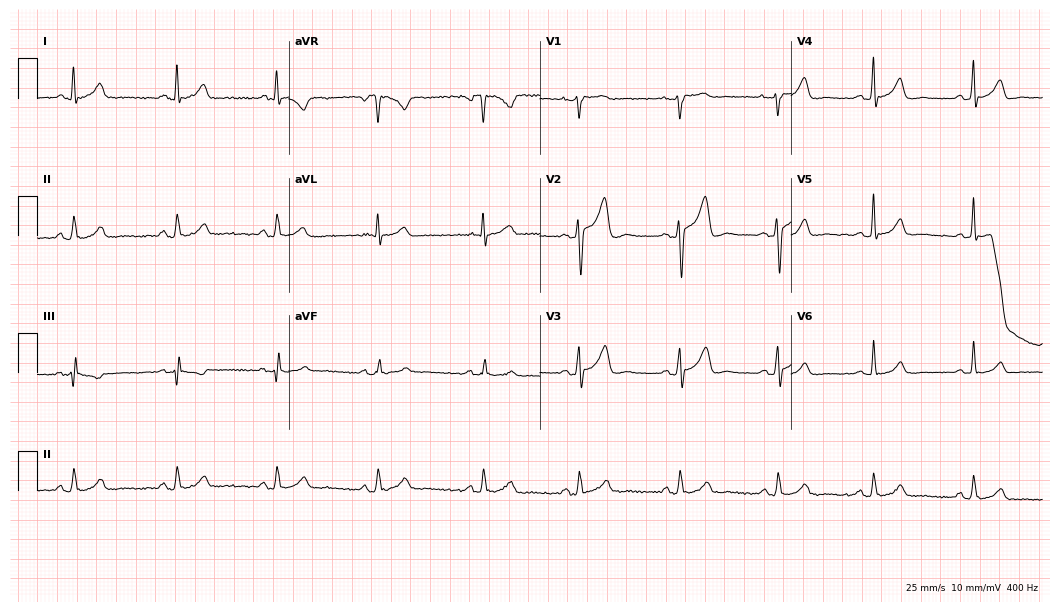
12-lead ECG (10.2-second recording at 400 Hz) from a man, 41 years old. Labelled as a normal ECG.